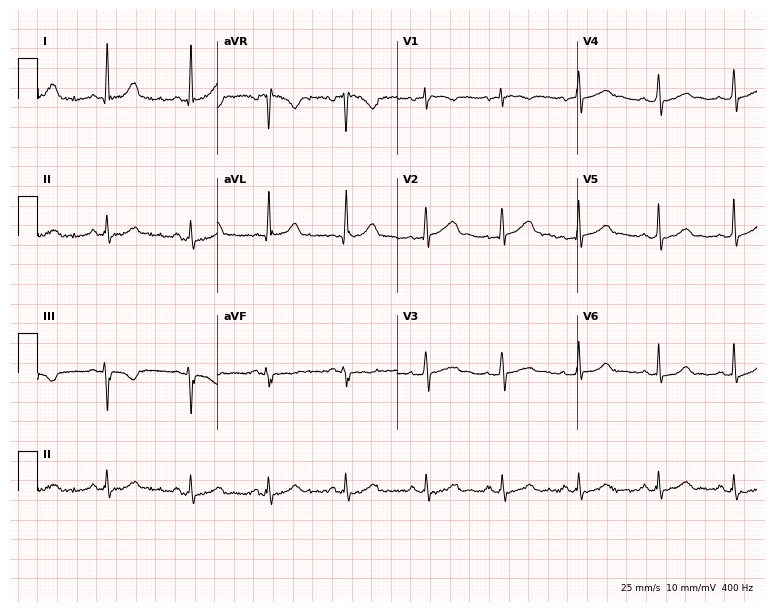
ECG — a woman, 31 years old. Labelled as a normal ECG.